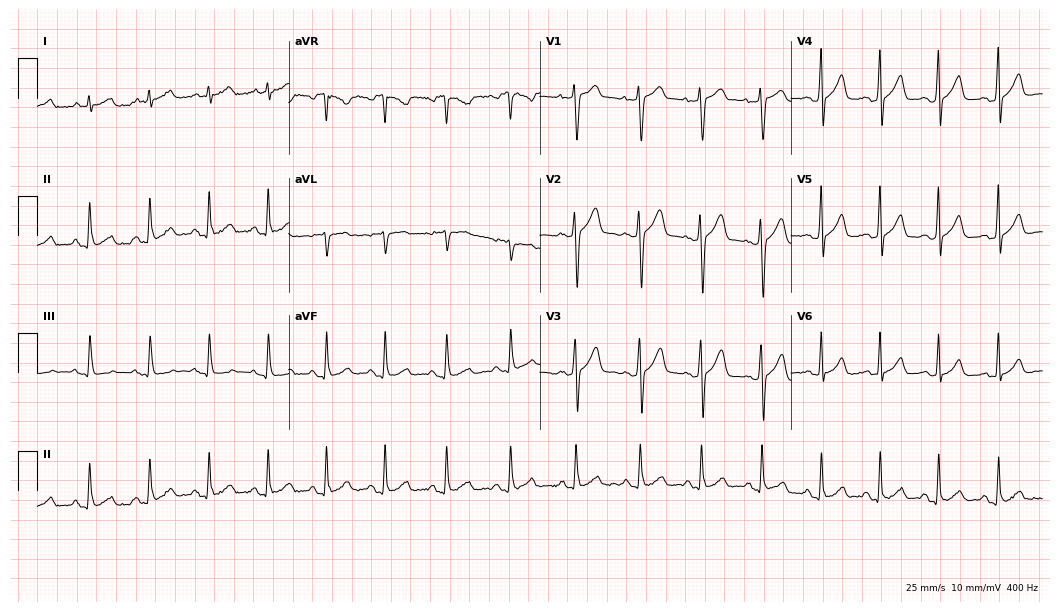
Electrocardiogram, a male patient, 35 years old. Overall reading on record: normal ECG.